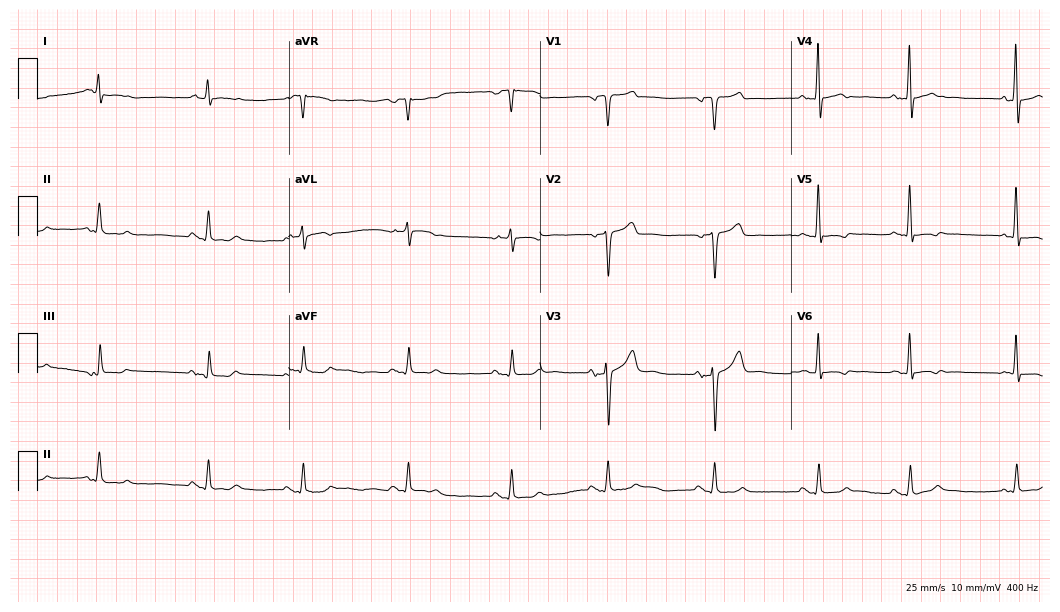
Electrocardiogram, a woman, 80 years old. Of the six screened findings (first-degree AV block, right bundle branch block, left bundle branch block, sinus bradycardia, atrial fibrillation, sinus tachycardia), none is recorded. Other findings, if any, are not listed.